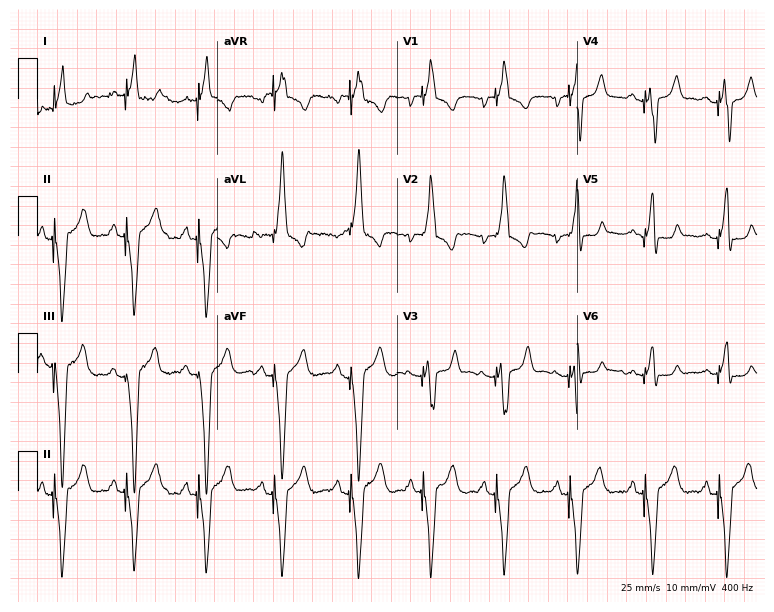
12-lead ECG (7.3-second recording at 400 Hz) from a man, 36 years old. Screened for six findings — first-degree AV block, right bundle branch block, left bundle branch block, sinus bradycardia, atrial fibrillation, sinus tachycardia — none is recorded. Only these six findings were labelled.